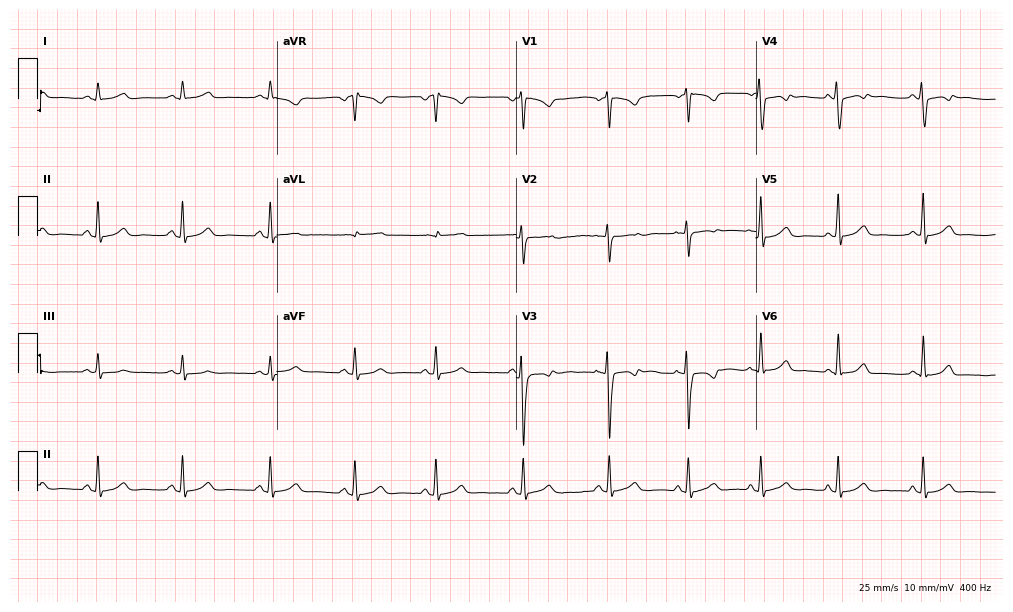
Standard 12-lead ECG recorded from a 23-year-old female patient (9.8-second recording at 400 Hz). None of these six findings is recorded: first-degree AV block, right bundle branch block, left bundle branch block, sinus bradycardia, atrial fibrillation, sinus tachycardia. Other findings, if any, are not listed.